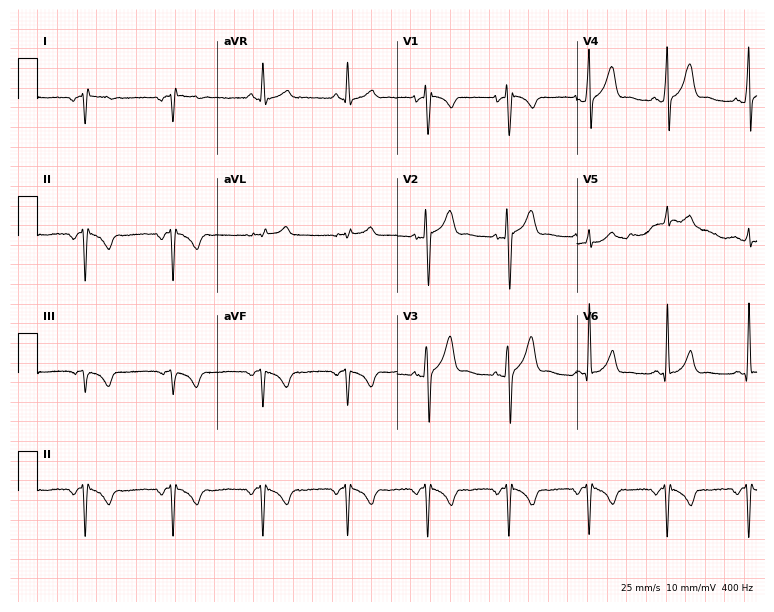
ECG (7.3-second recording at 400 Hz) — a male, 28 years old. Labelled as a normal ECG.